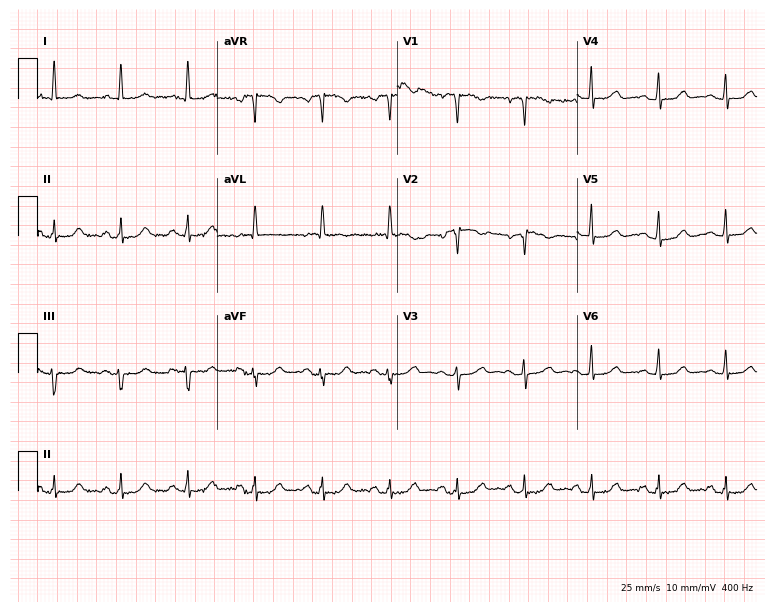
Resting 12-lead electrocardiogram (7.3-second recording at 400 Hz). Patient: a woman, 69 years old. Read as a normal ECG.